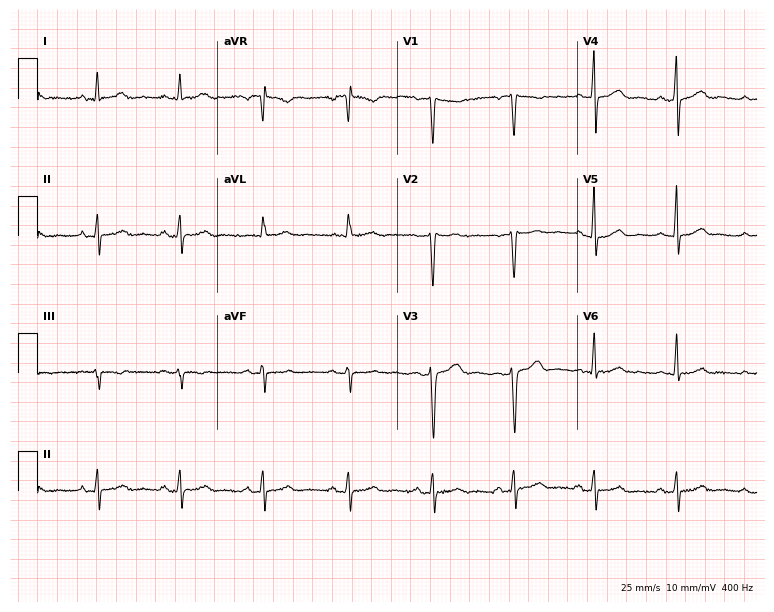
Standard 12-lead ECG recorded from a female patient, 38 years old. None of these six findings is recorded: first-degree AV block, right bundle branch block (RBBB), left bundle branch block (LBBB), sinus bradycardia, atrial fibrillation (AF), sinus tachycardia.